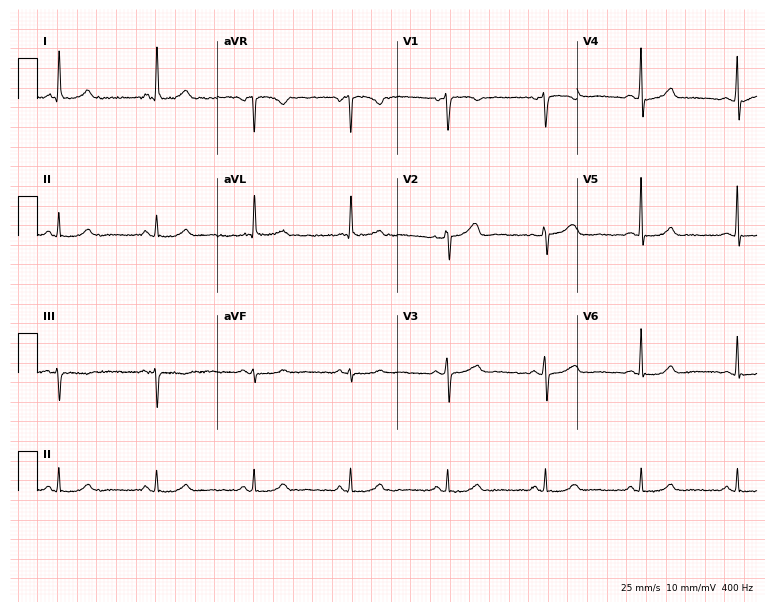
12-lead ECG from a 71-year-old female patient. Labelled as a normal ECG.